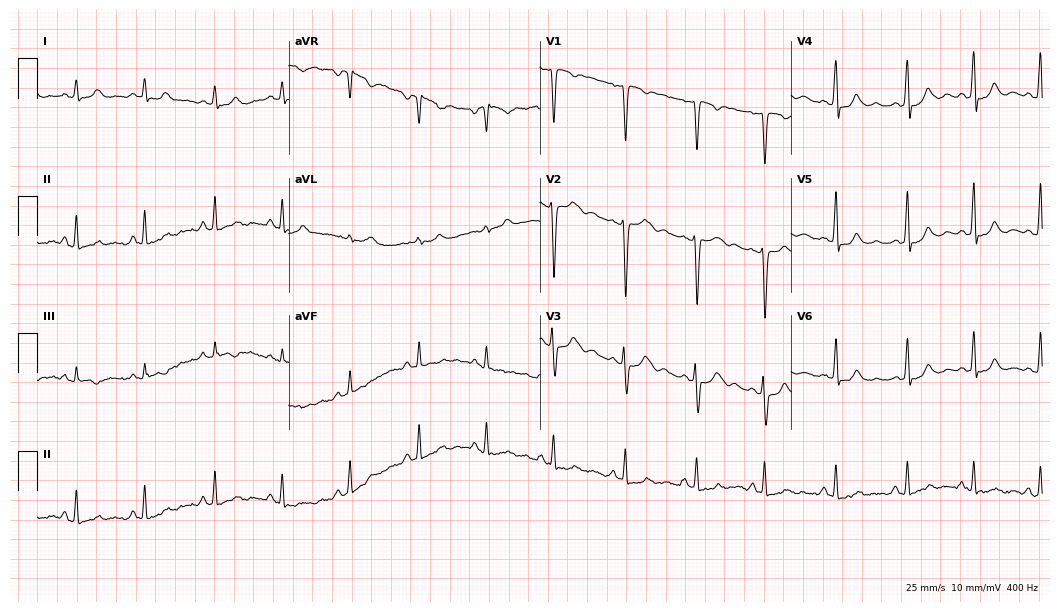
12-lead ECG from a female patient, 35 years old. Recorded interpretation: within normal limits.